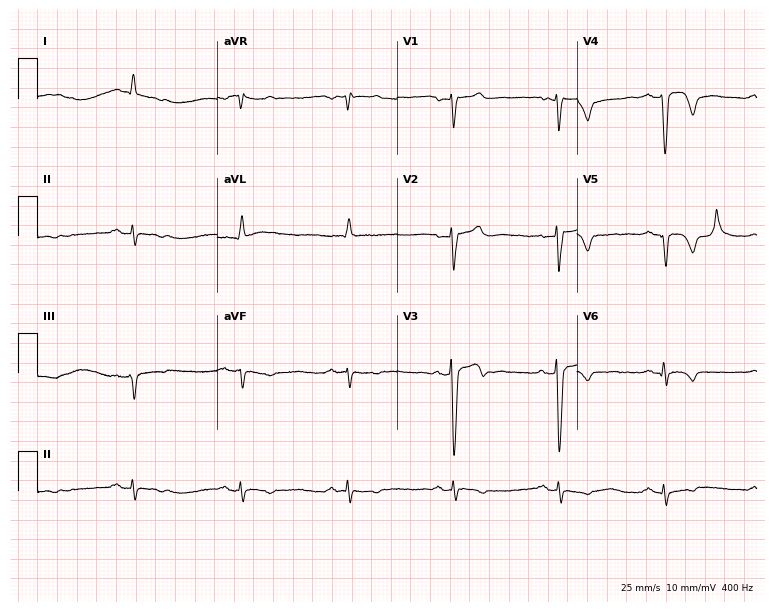
Electrocardiogram (7.3-second recording at 400 Hz), a male, 49 years old. Of the six screened findings (first-degree AV block, right bundle branch block, left bundle branch block, sinus bradycardia, atrial fibrillation, sinus tachycardia), none is recorded. Findings outside these six are not listed.